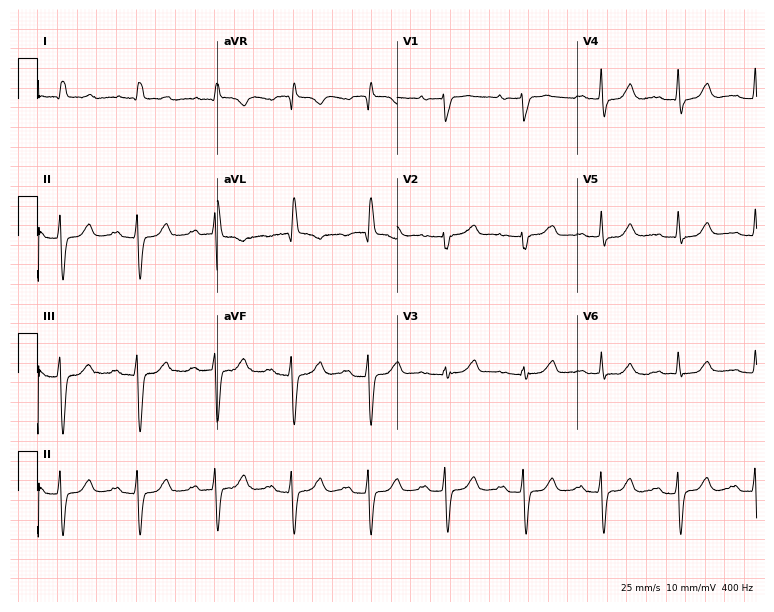
Electrocardiogram, a female, 64 years old. Interpretation includes first-degree AV block.